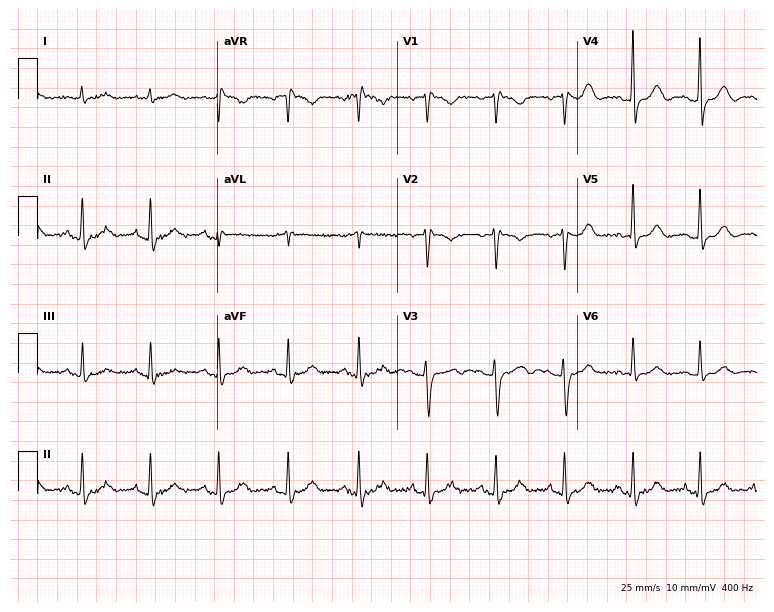
Standard 12-lead ECG recorded from a woman, 36 years old. None of these six findings is recorded: first-degree AV block, right bundle branch block (RBBB), left bundle branch block (LBBB), sinus bradycardia, atrial fibrillation (AF), sinus tachycardia.